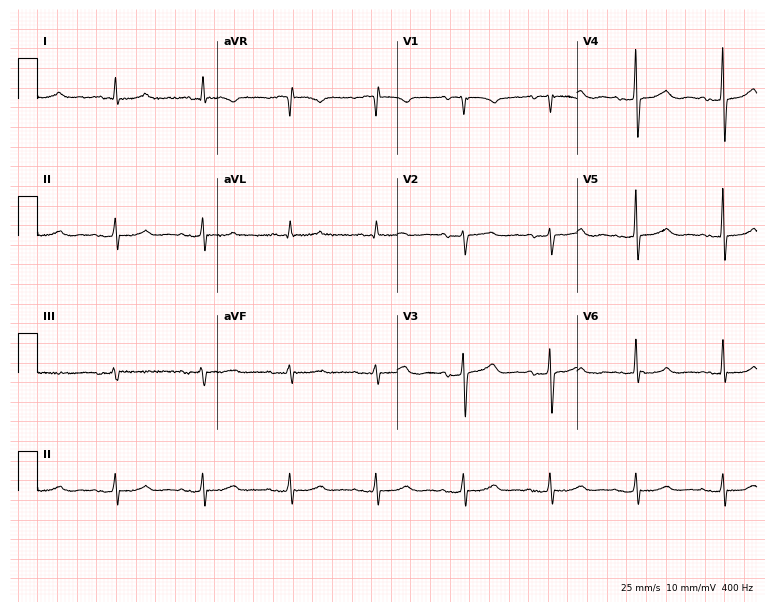
Standard 12-lead ECG recorded from a female, 72 years old (7.3-second recording at 400 Hz). Read as a normal ECG.